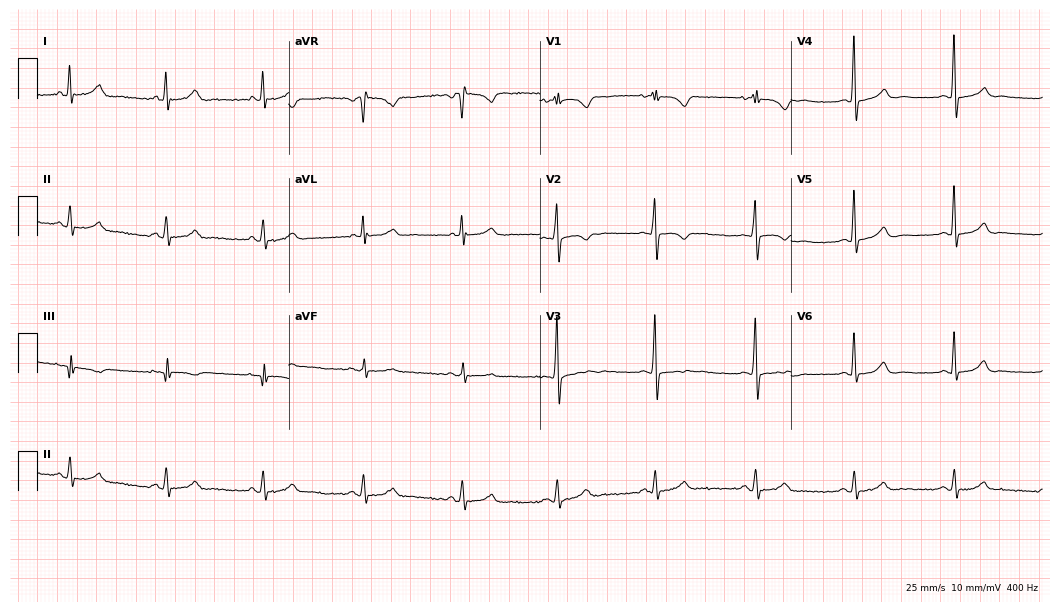
12-lead ECG from a 65-year-old female patient. Labelled as a normal ECG.